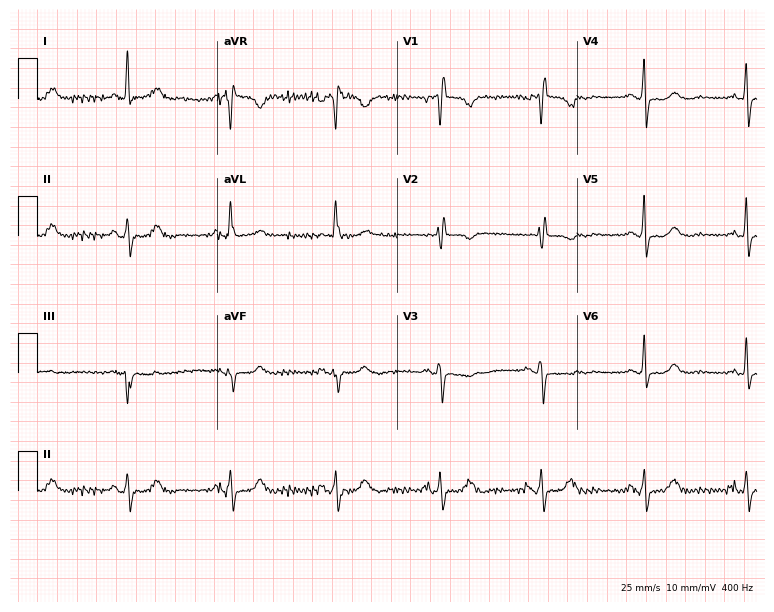
12-lead ECG from a 69-year-old female (7.3-second recording at 400 Hz). No first-degree AV block, right bundle branch block, left bundle branch block, sinus bradycardia, atrial fibrillation or sinus tachycardia recorded for this tracing. Findings outside these six are not listed.